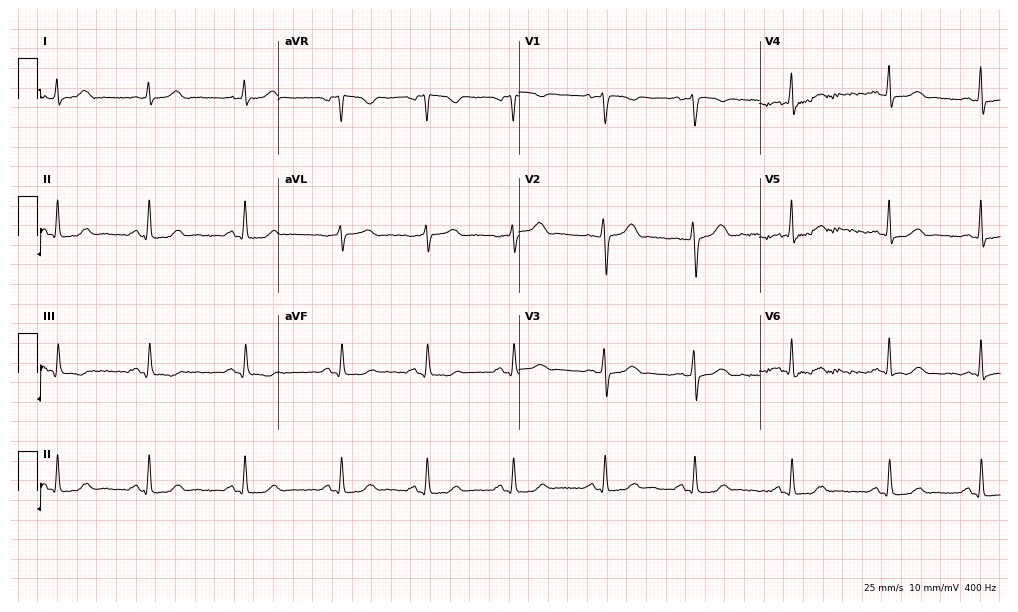
Electrocardiogram (9.8-second recording at 400 Hz), a 37-year-old woman. Overall reading on record: normal ECG.